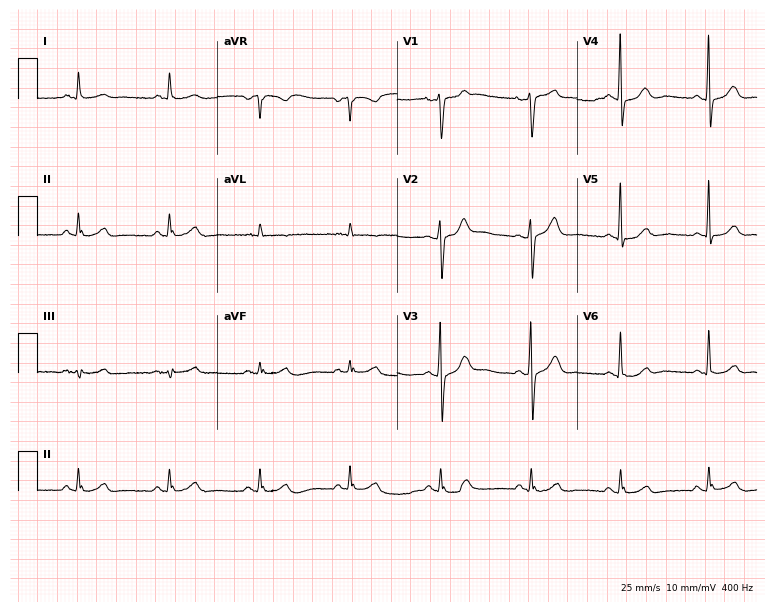
Electrocardiogram (7.3-second recording at 400 Hz), a man, 64 years old. Overall reading on record: normal ECG.